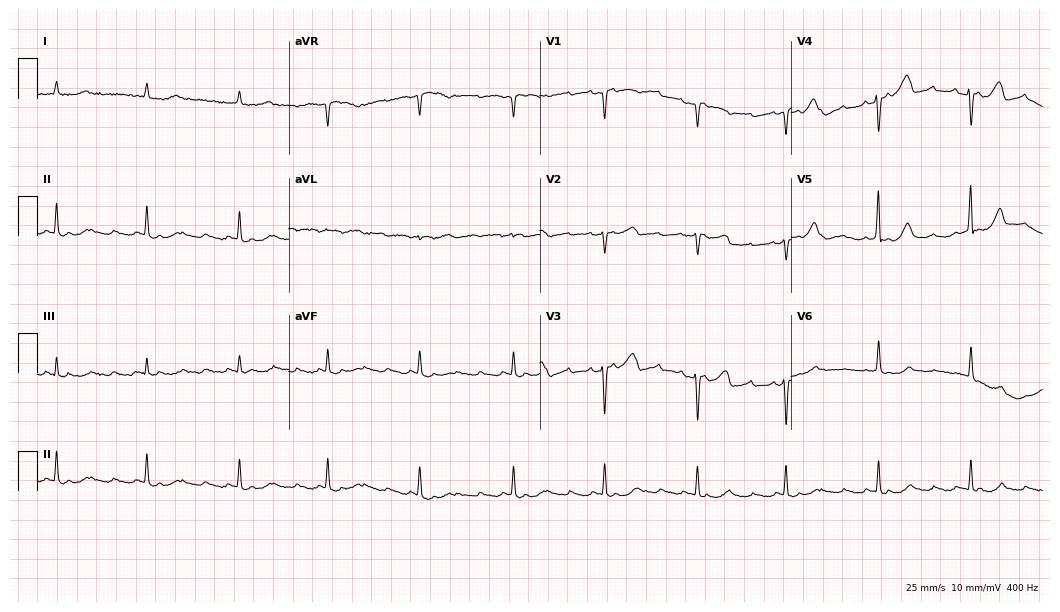
Standard 12-lead ECG recorded from an 82-year-old female. The tracing shows atrial fibrillation.